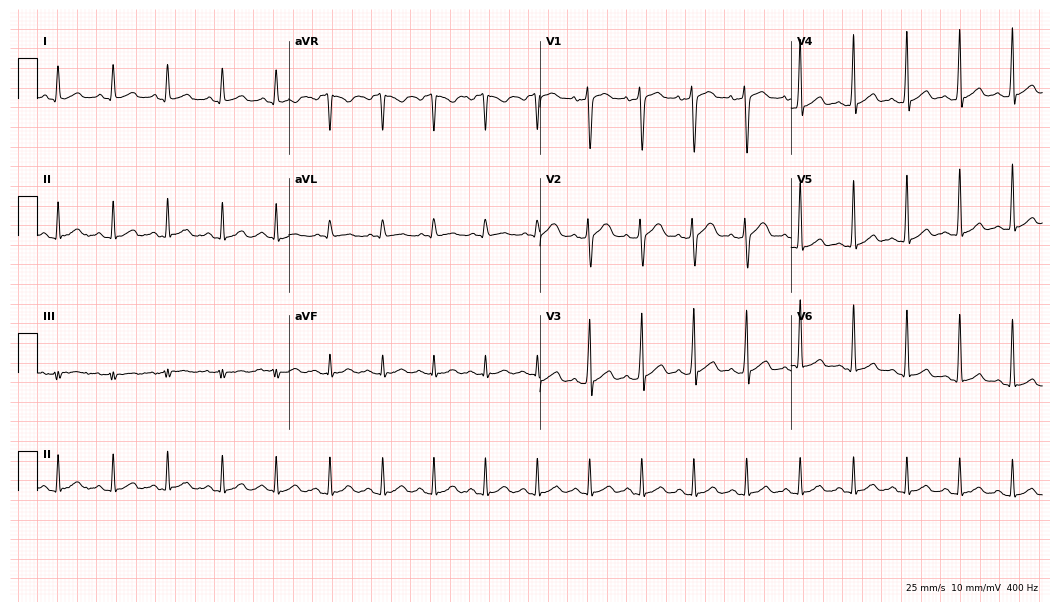
Electrocardiogram, a man, 18 years old. Interpretation includes sinus tachycardia (a sinus rate of 100 beats per minute or more).